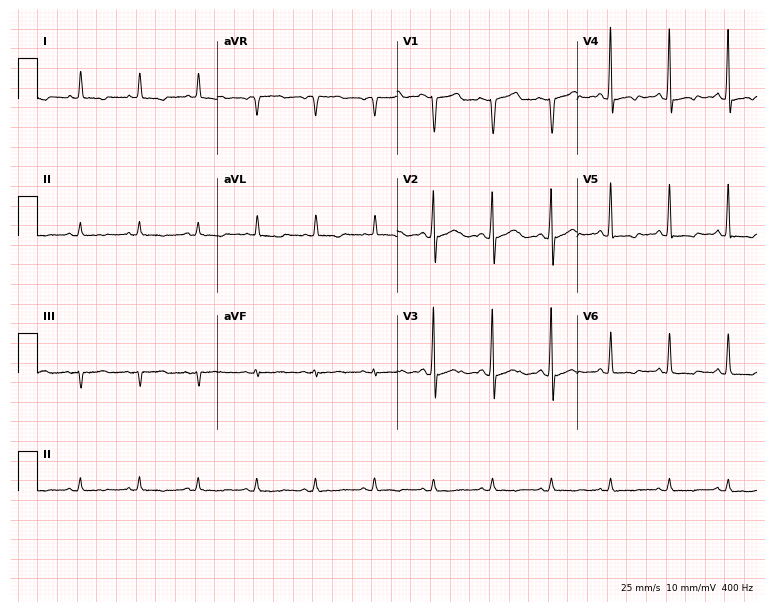
ECG (7.3-second recording at 400 Hz) — a woman, 69 years old. Screened for six findings — first-degree AV block, right bundle branch block, left bundle branch block, sinus bradycardia, atrial fibrillation, sinus tachycardia — none is recorded.